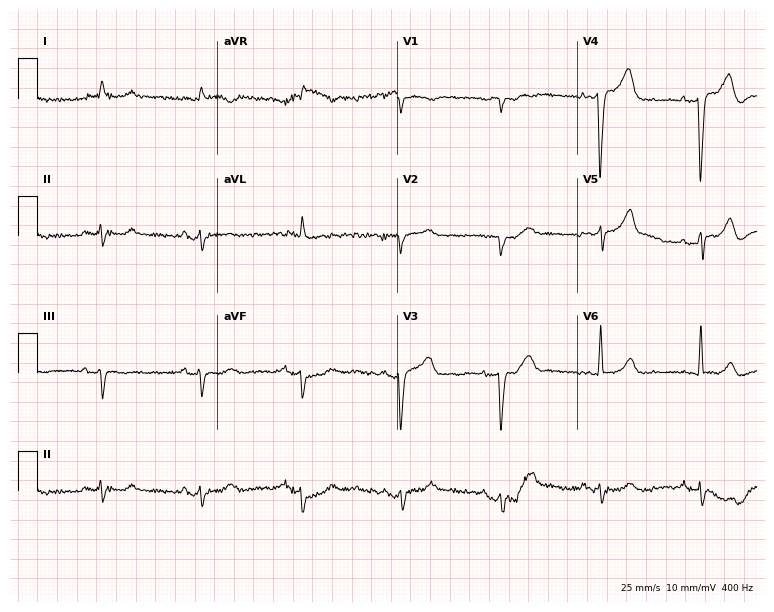
Standard 12-lead ECG recorded from a man, 85 years old. None of these six findings is recorded: first-degree AV block, right bundle branch block, left bundle branch block, sinus bradycardia, atrial fibrillation, sinus tachycardia. Only these six findings were labelled.